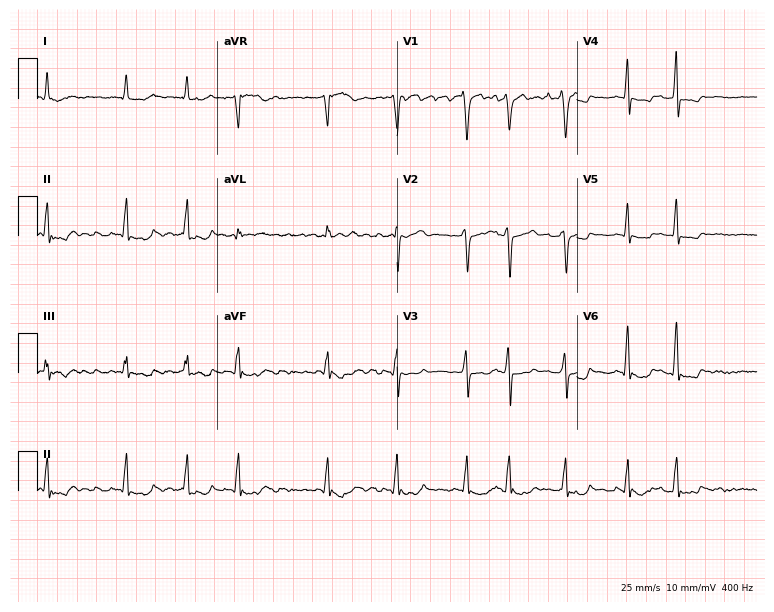
12-lead ECG from a male patient, 52 years old. Shows atrial fibrillation (AF).